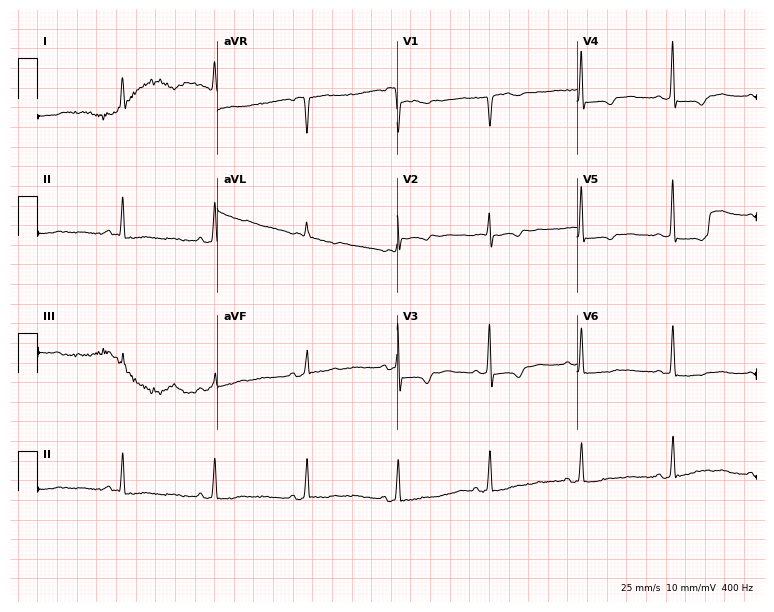
12-lead ECG from a woman, 71 years old (7.3-second recording at 400 Hz). No first-degree AV block, right bundle branch block (RBBB), left bundle branch block (LBBB), sinus bradycardia, atrial fibrillation (AF) or sinus tachycardia recorded for this tracing. Findings outside these six are not listed.